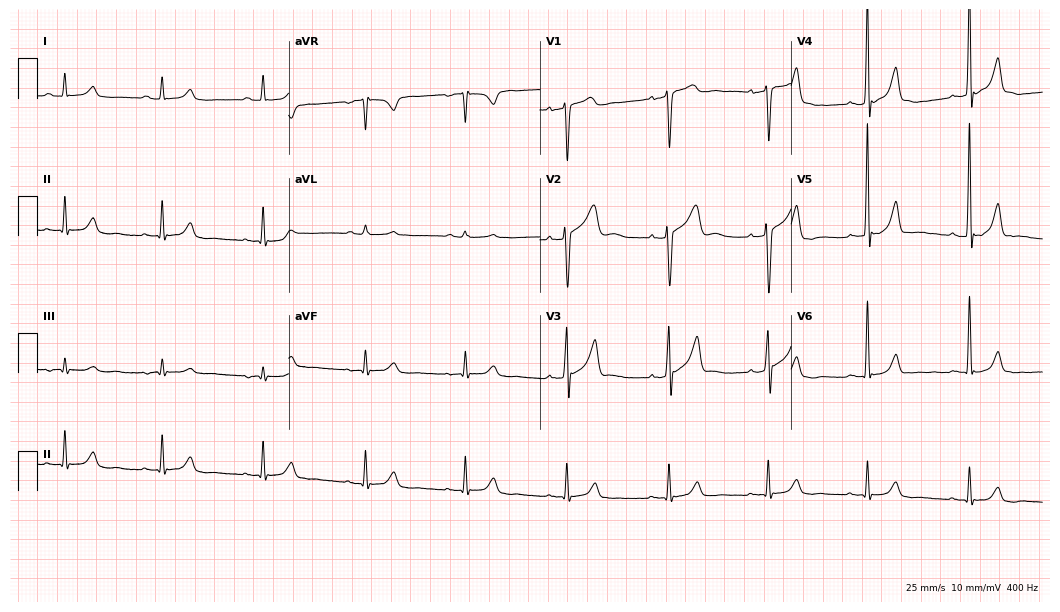
12-lead ECG (10.2-second recording at 400 Hz) from a 59-year-old male patient. Labelled as a normal ECG.